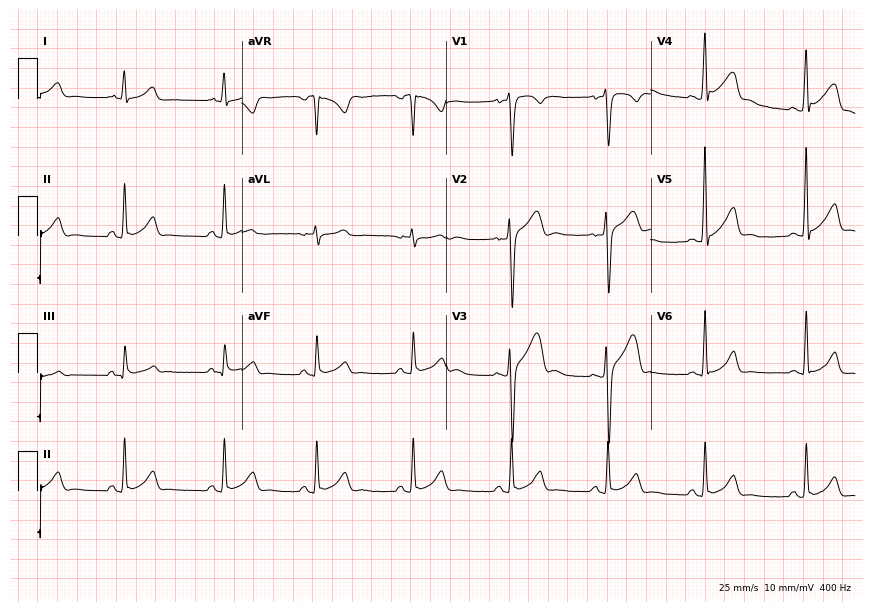
Standard 12-lead ECG recorded from a male patient, 21 years old. Read as a normal ECG.